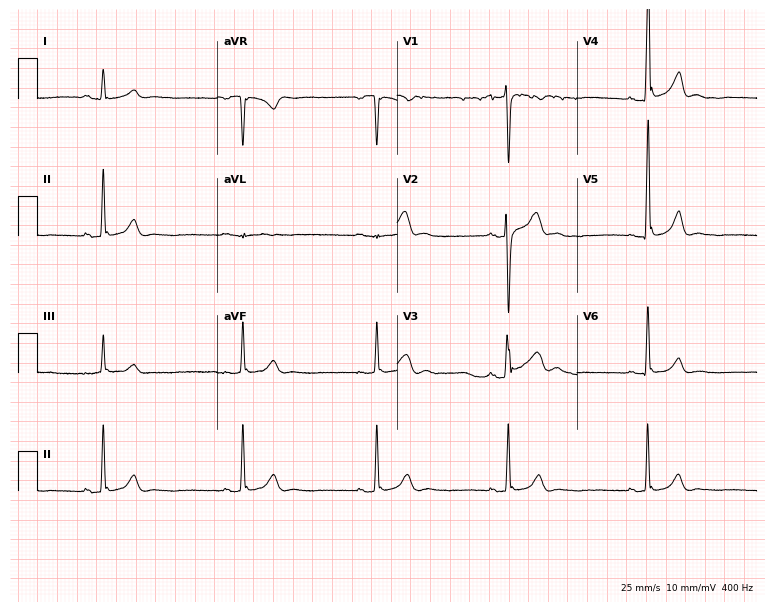
Standard 12-lead ECG recorded from a man, 24 years old. The tracing shows sinus bradycardia (a sinus rate of 50 beats per minute or less).